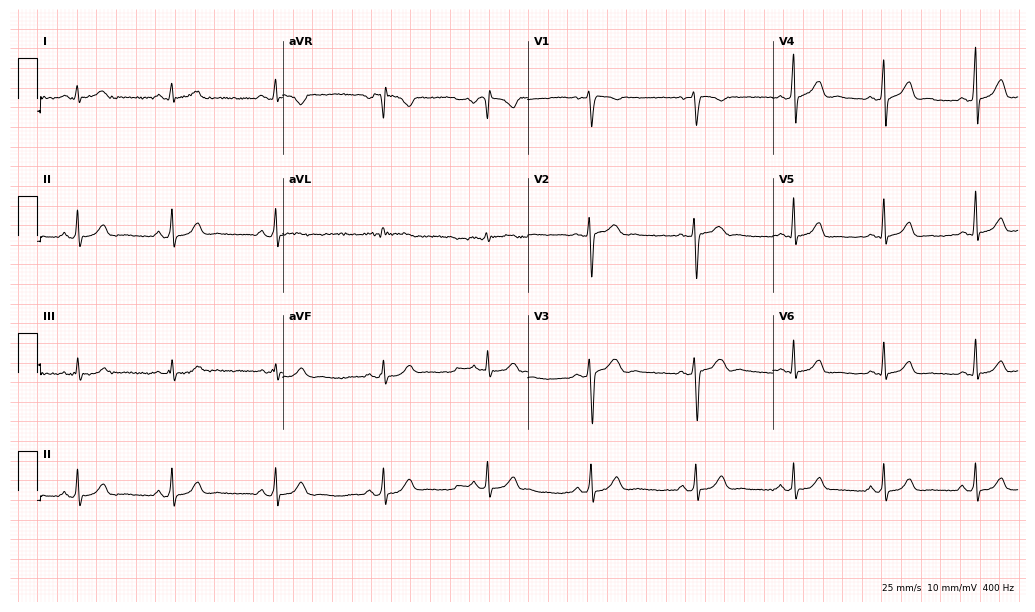
ECG (10-second recording at 400 Hz) — a 23-year-old male patient. Screened for six findings — first-degree AV block, right bundle branch block, left bundle branch block, sinus bradycardia, atrial fibrillation, sinus tachycardia — none is recorded.